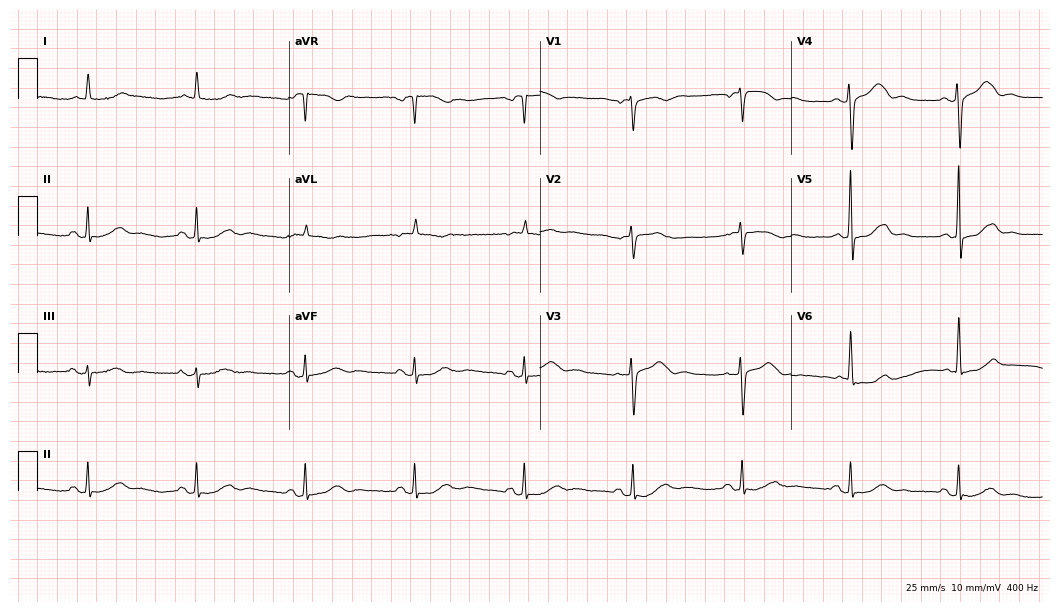
Standard 12-lead ECG recorded from a female patient, 65 years old. None of these six findings is recorded: first-degree AV block, right bundle branch block, left bundle branch block, sinus bradycardia, atrial fibrillation, sinus tachycardia. Other findings, if any, are not listed.